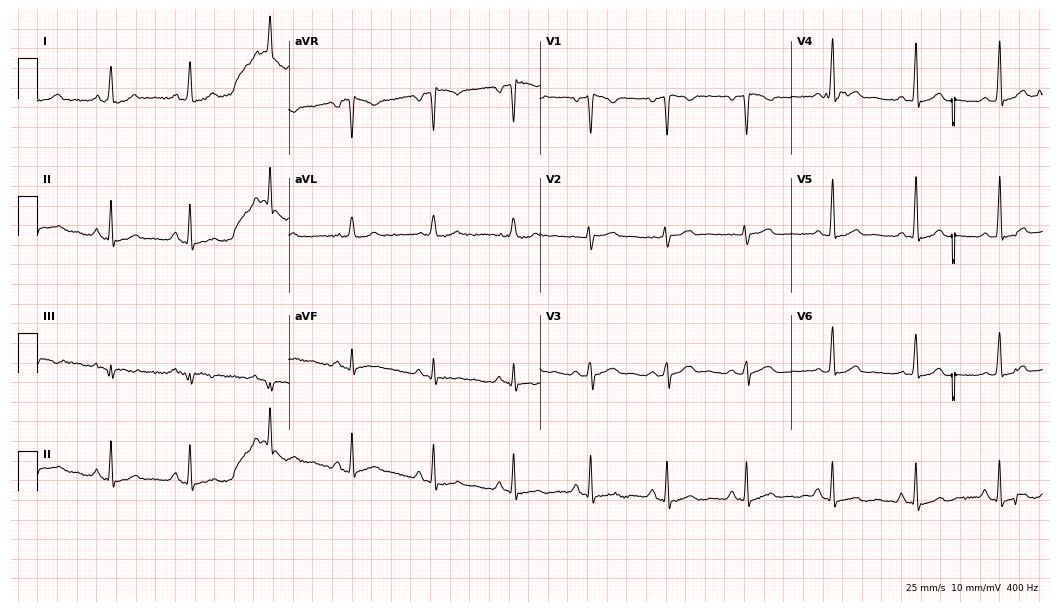
Resting 12-lead electrocardiogram (10.2-second recording at 400 Hz). Patient: a female, 33 years old. None of these six findings is recorded: first-degree AV block, right bundle branch block (RBBB), left bundle branch block (LBBB), sinus bradycardia, atrial fibrillation (AF), sinus tachycardia. Only these six findings were labelled.